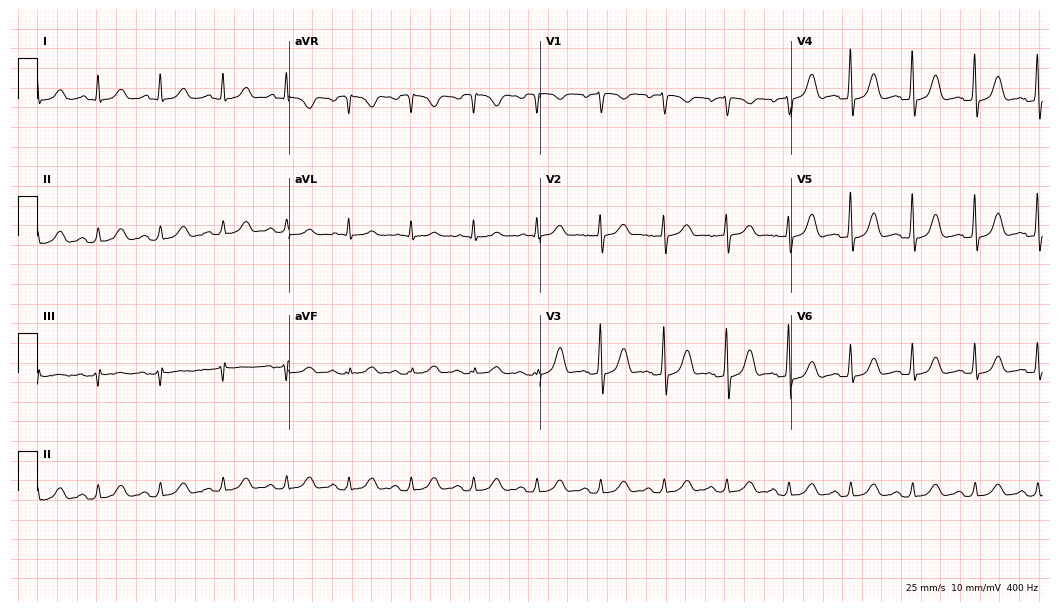
ECG — a female patient, 49 years old. Labelled as a normal ECG.